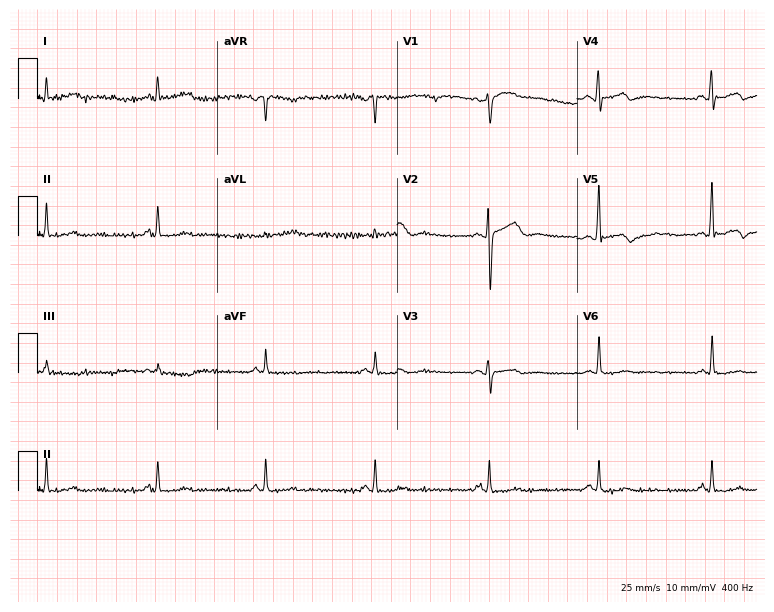
12-lead ECG from a male, 48 years old. Screened for six findings — first-degree AV block, right bundle branch block, left bundle branch block, sinus bradycardia, atrial fibrillation, sinus tachycardia — none is recorded. Other findings, if any, are not listed.